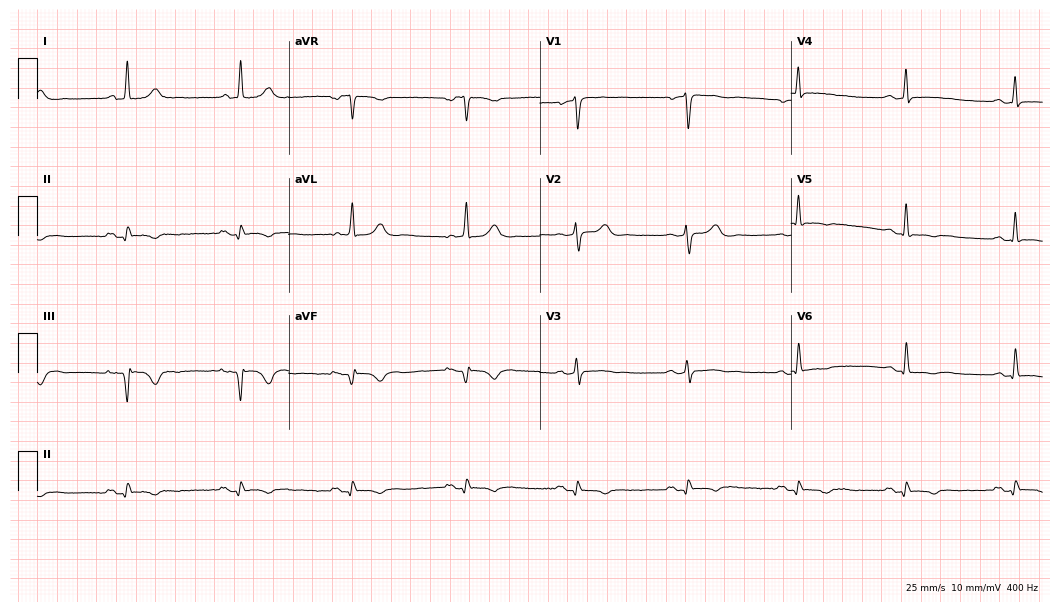
Resting 12-lead electrocardiogram. Patient: a woman, 71 years old. None of these six findings is recorded: first-degree AV block, right bundle branch block (RBBB), left bundle branch block (LBBB), sinus bradycardia, atrial fibrillation (AF), sinus tachycardia. Findings outside these six are not listed.